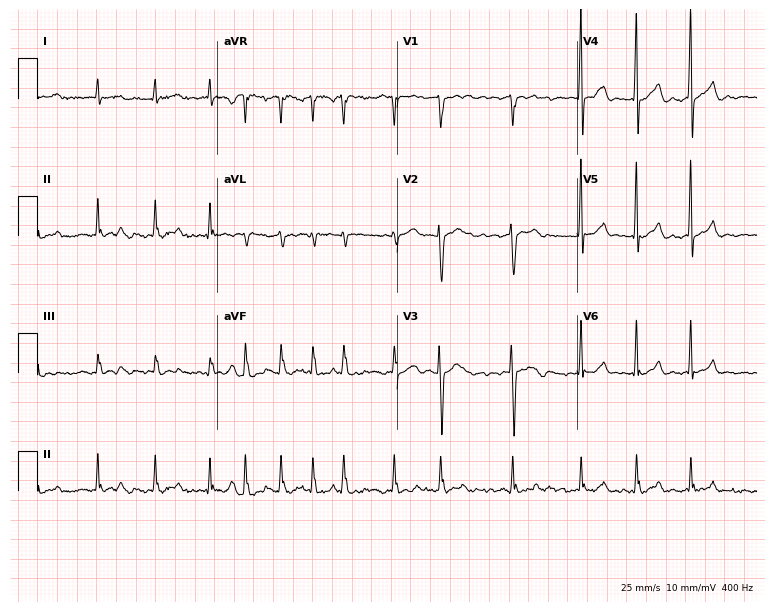
Standard 12-lead ECG recorded from a 77-year-old male. The tracing shows atrial fibrillation (AF).